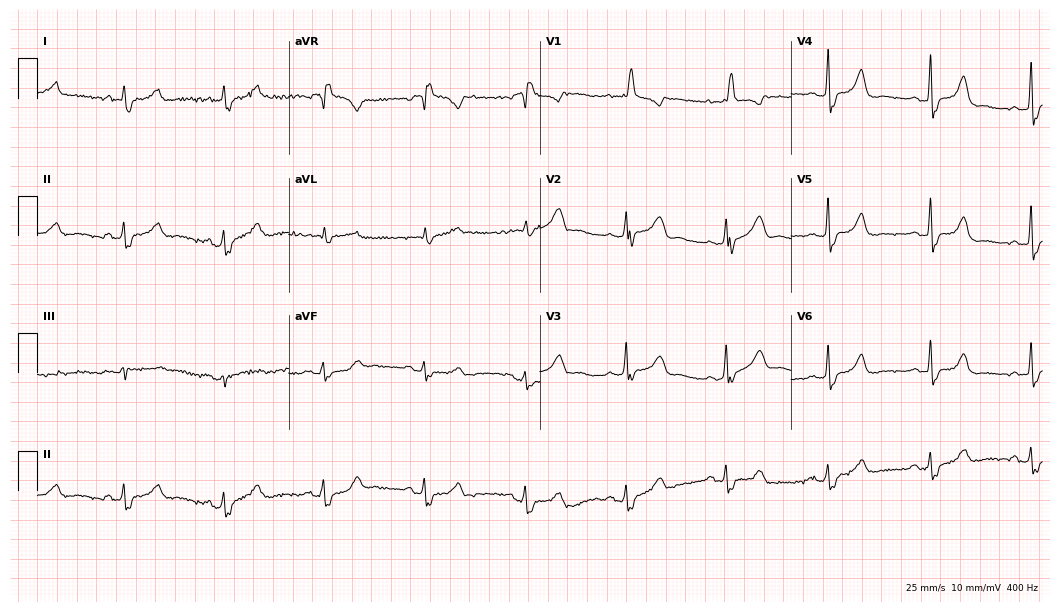
Electrocardiogram, a 45-year-old female patient. Of the six screened findings (first-degree AV block, right bundle branch block (RBBB), left bundle branch block (LBBB), sinus bradycardia, atrial fibrillation (AF), sinus tachycardia), none is recorded. Other findings, if any, are not listed.